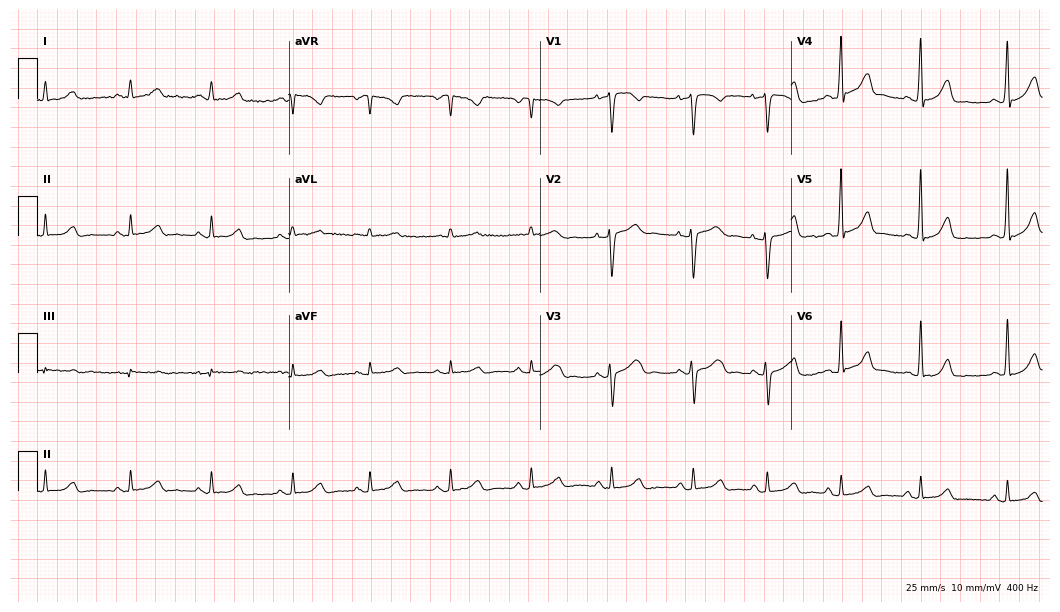
12-lead ECG from a 30-year-old female patient. Labelled as a normal ECG.